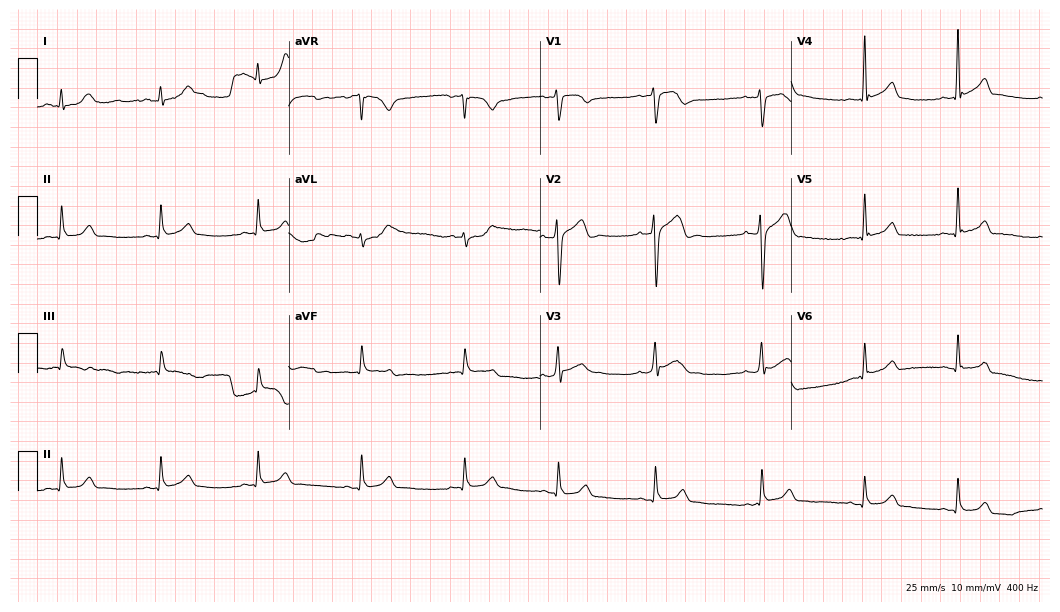
Standard 12-lead ECG recorded from a 26-year-old male. Read as a normal ECG.